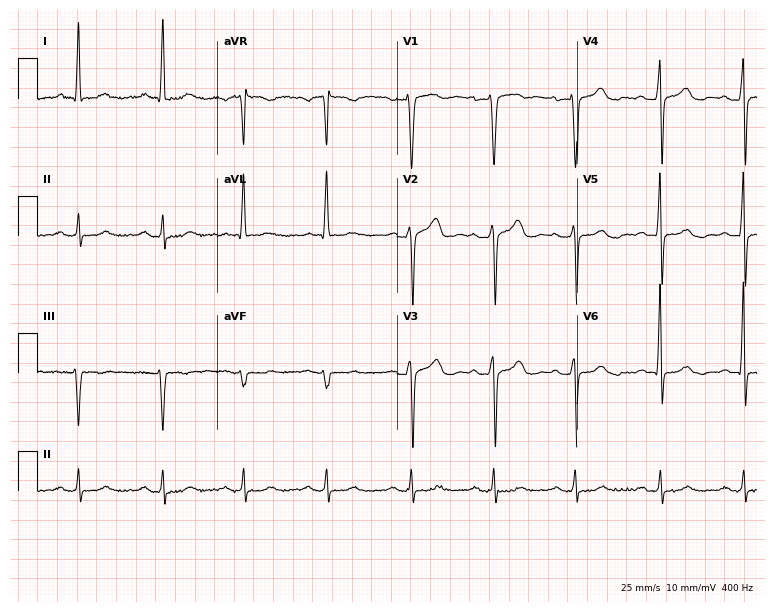
Electrocardiogram, a 69-year-old male patient. Interpretation includes first-degree AV block.